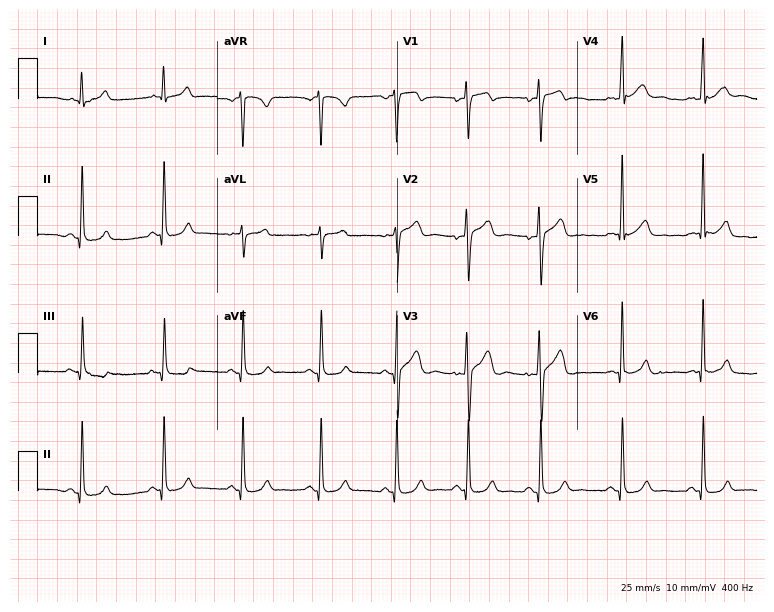
Resting 12-lead electrocardiogram. Patient: a male, 29 years old. Read as a normal ECG.